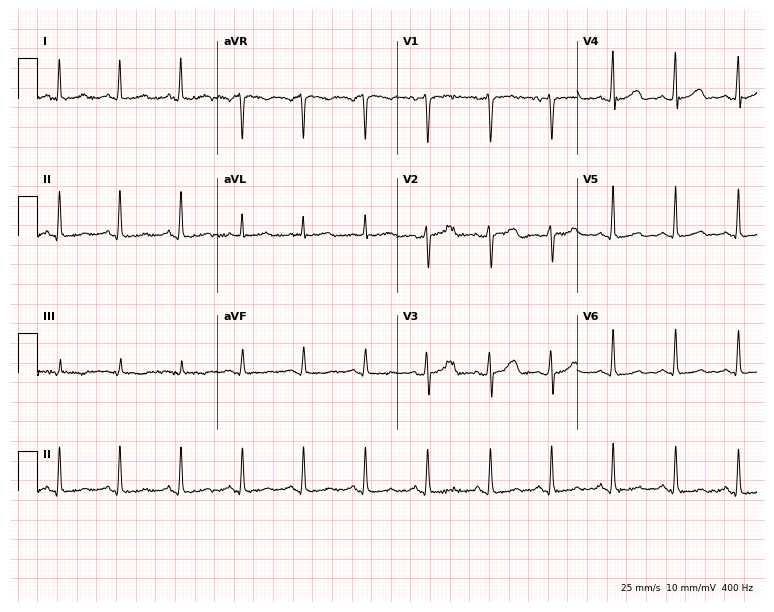
Resting 12-lead electrocardiogram. Patient: a 36-year-old female. None of these six findings is recorded: first-degree AV block, right bundle branch block, left bundle branch block, sinus bradycardia, atrial fibrillation, sinus tachycardia. Only these six findings were labelled.